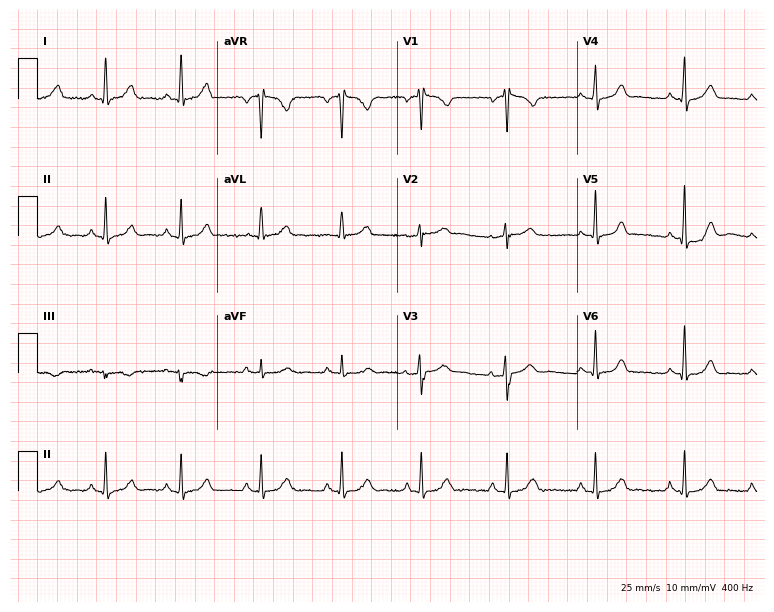
ECG (7.3-second recording at 400 Hz) — a female patient, 50 years old. Labelled as a normal ECG.